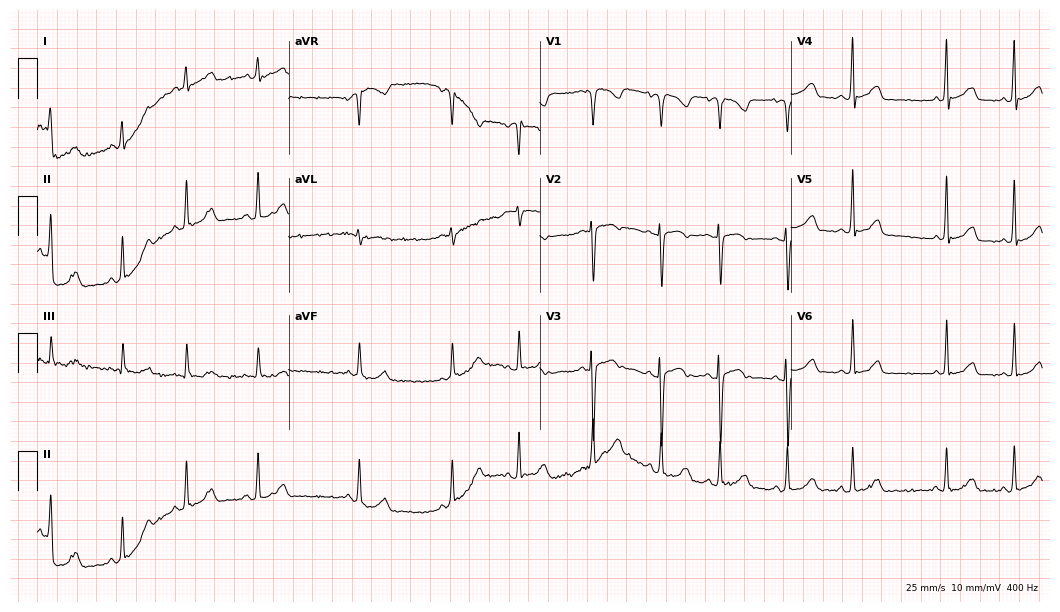
Resting 12-lead electrocardiogram (10.2-second recording at 400 Hz). Patient: a 27-year-old male. Read as a normal ECG.